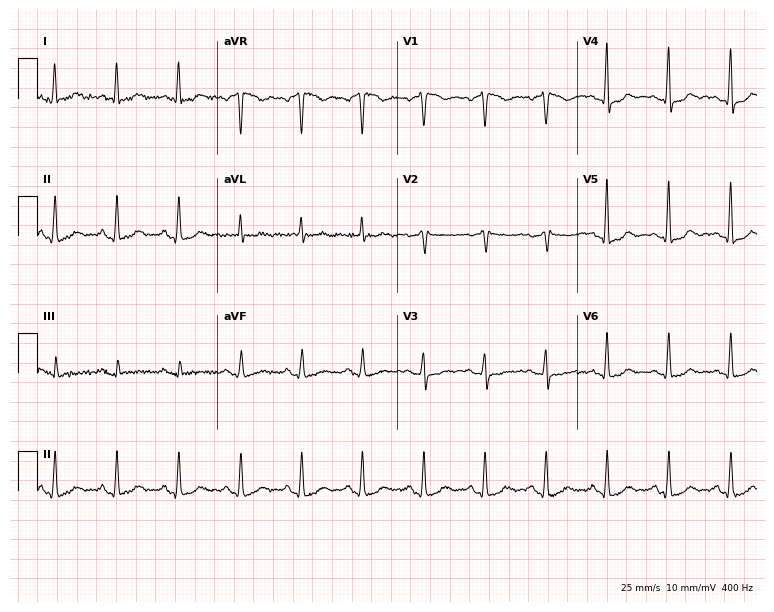
Standard 12-lead ECG recorded from a woman, 65 years old. None of these six findings is recorded: first-degree AV block, right bundle branch block, left bundle branch block, sinus bradycardia, atrial fibrillation, sinus tachycardia.